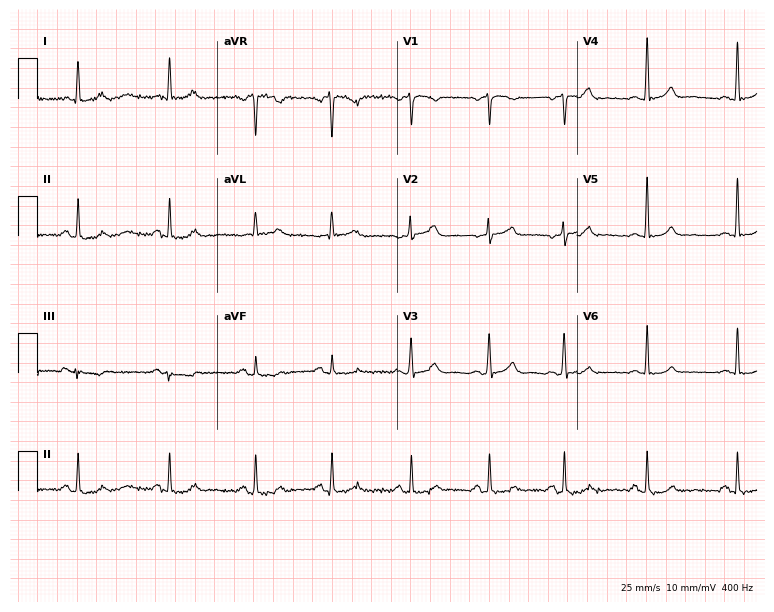
Standard 12-lead ECG recorded from a female, 52 years old. Read as a normal ECG.